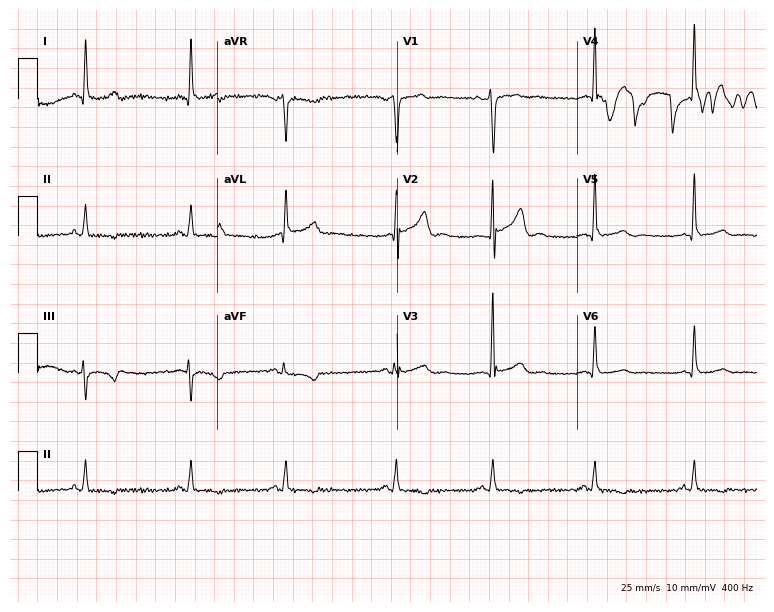
Standard 12-lead ECG recorded from a 44-year-old female patient. None of these six findings is recorded: first-degree AV block, right bundle branch block, left bundle branch block, sinus bradycardia, atrial fibrillation, sinus tachycardia. Other findings, if any, are not listed.